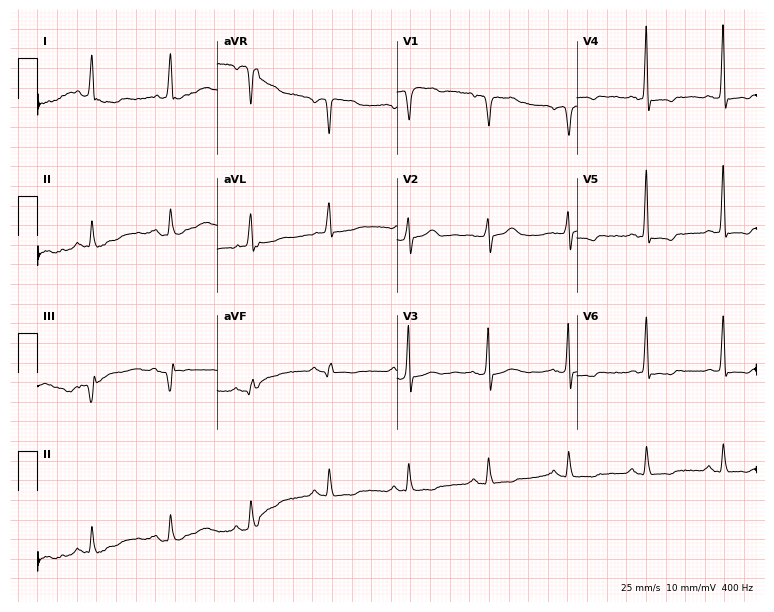
12-lead ECG (7.3-second recording at 400 Hz) from a 64-year-old man. Screened for six findings — first-degree AV block, right bundle branch block, left bundle branch block, sinus bradycardia, atrial fibrillation, sinus tachycardia — none is recorded.